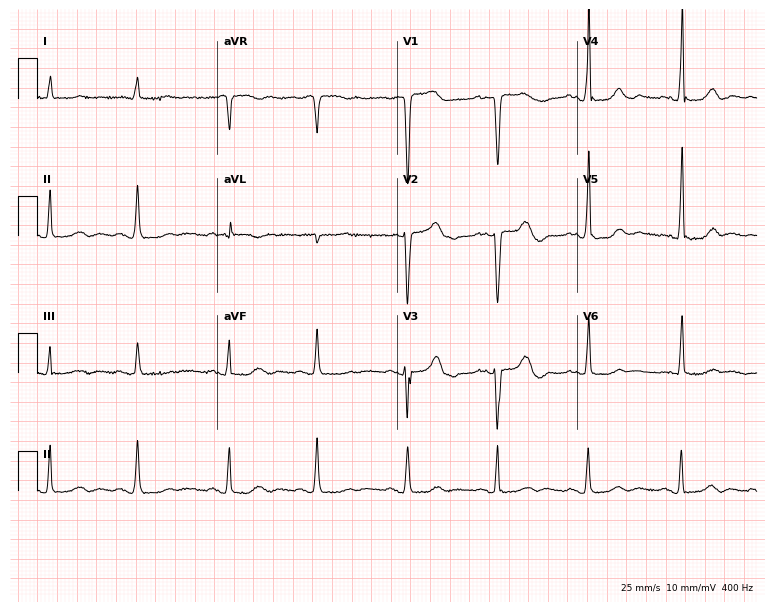
ECG — an 84-year-old female patient. Screened for six findings — first-degree AV block, right bundle branch block (RBBB), left bundle branch block (LBBB), sinus bradycardia, atrial fibrillation (AF), sinus tachycardia — none is recorded.